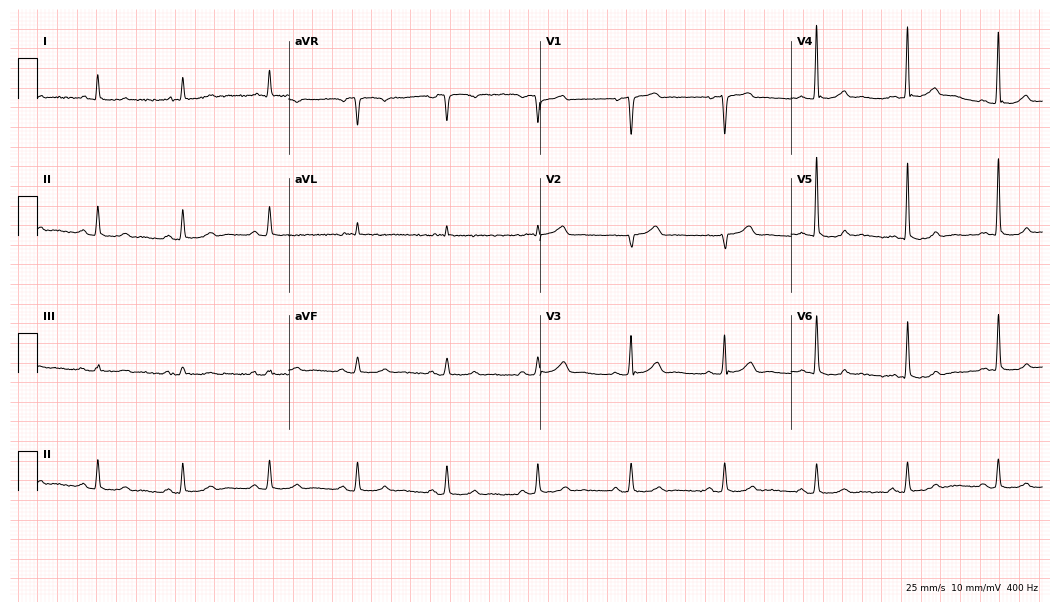
12-lead ECG from a 74-year-old male. Labelled as a normal ECG.